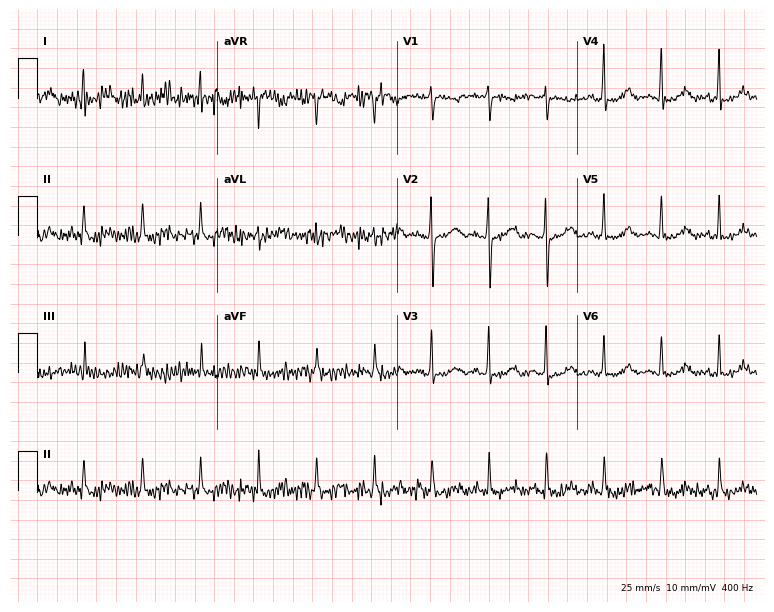
12-lead ECG (7.3-second recording at 400 Hz) from a 34-year-old female patient. Screened for six findings — first-degree AV block, right bundle branch block, left bundle branch block, sinus bradycardia, atrial fibrillation, sinus tachycardia — none is recorded. Other findings, if any, are not listed.